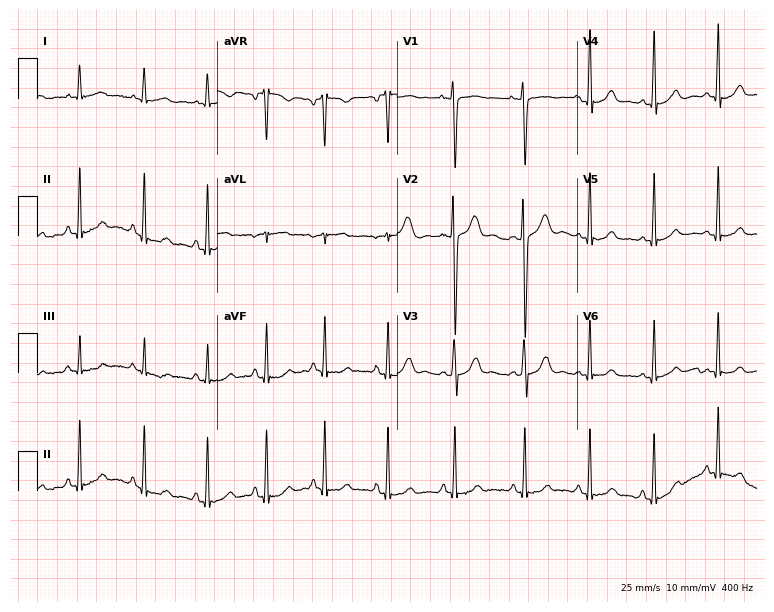
12-lead ECG (7.3-second recording at 400 Hz) from a 19-year-old female patient. Labelled as a normal ECG.